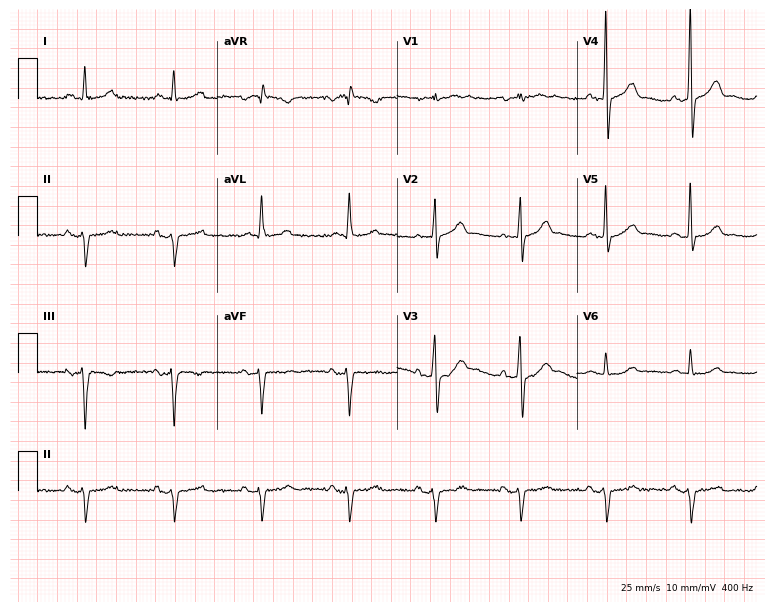
ECG (7.3-second recording at 400 Hz) — a male, 79 years old. Screened for six findings — first-degree AV block, right bundle branch block, left bundle branch block, sinus bradycardia, atrial fibrillation, sinus tachycardia — none is recorded.